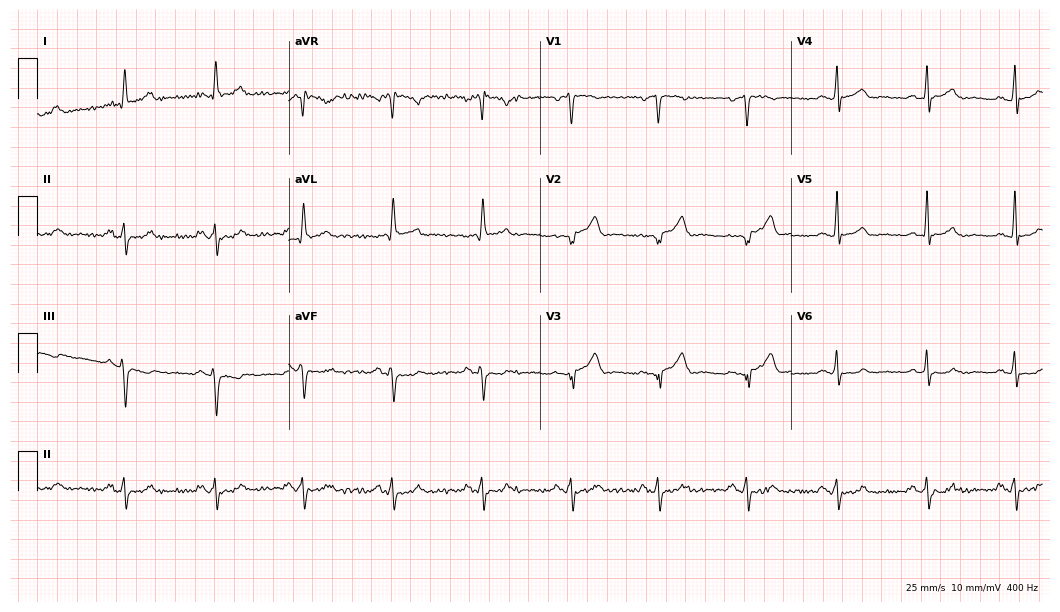
ECG — a man, 46 years old. Screened for six findings — first-degree AV block, right bundle branch block (RBBB), left bundle branch block (LBBB), sinus bradycardia, atrial fibrillation (AF), sinus tachycardia — none is recorded. Only these six findings were labelled.